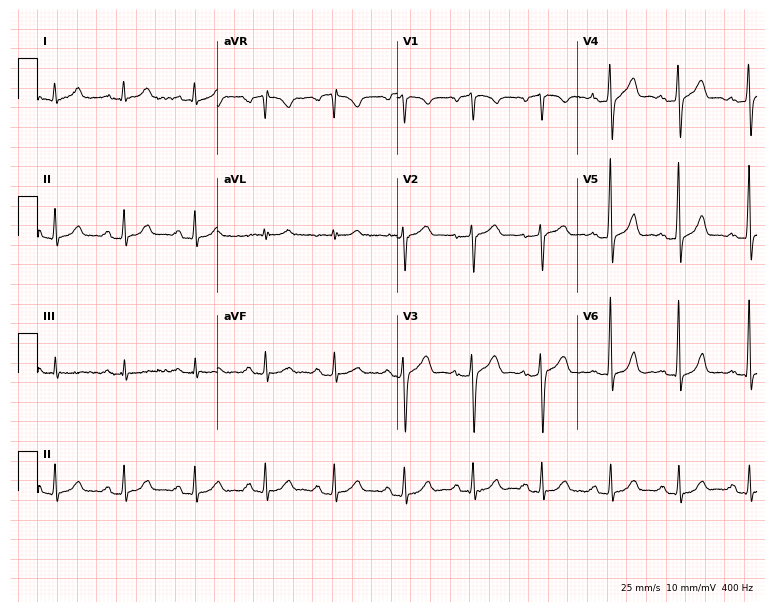
Standard 12-lead ECG recorded from a 57-year-old man. None of these six findings is recorded: first-degree AV block, right bundle branch block, left bundle branch block, sinus bradycardia, atrial fibrillation, sinus tachycardia. Findings outside these six are not listed.